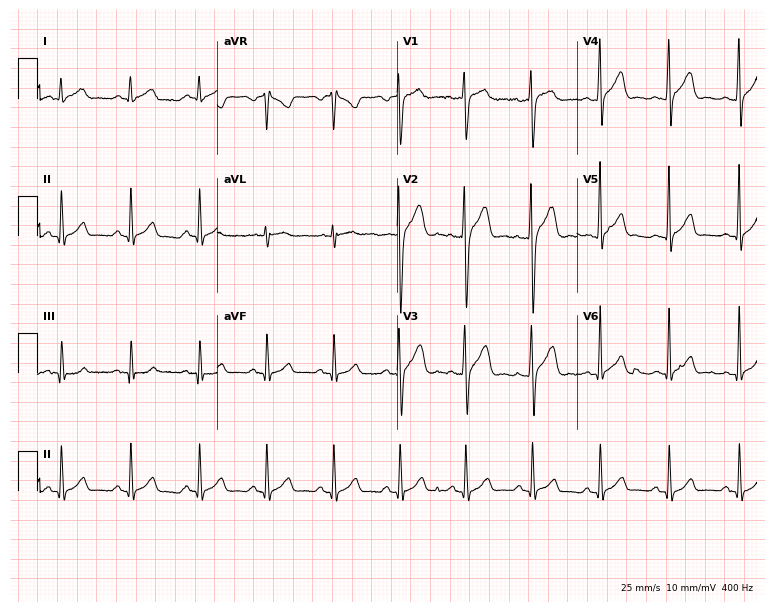
Electrocardiogram, a man, 22 years old. Overall reading on record: normal ECG.